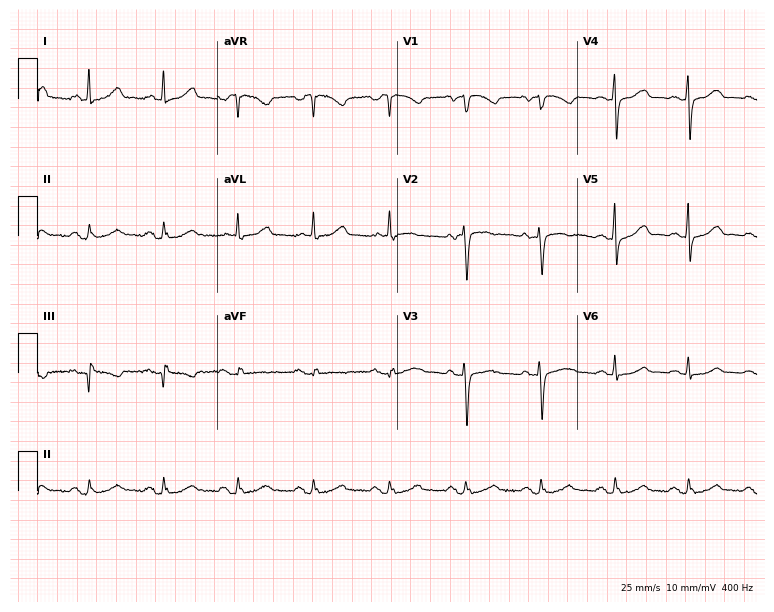
12-lead ECG from a female patient, 76 years old (7.3-second recording at 400 Hz). No first-degree AV block, right bundle branch block, left bundle branch block, sinus bradycardia, atrial fibrillation or sinus tachycardia recorded for this tracing.